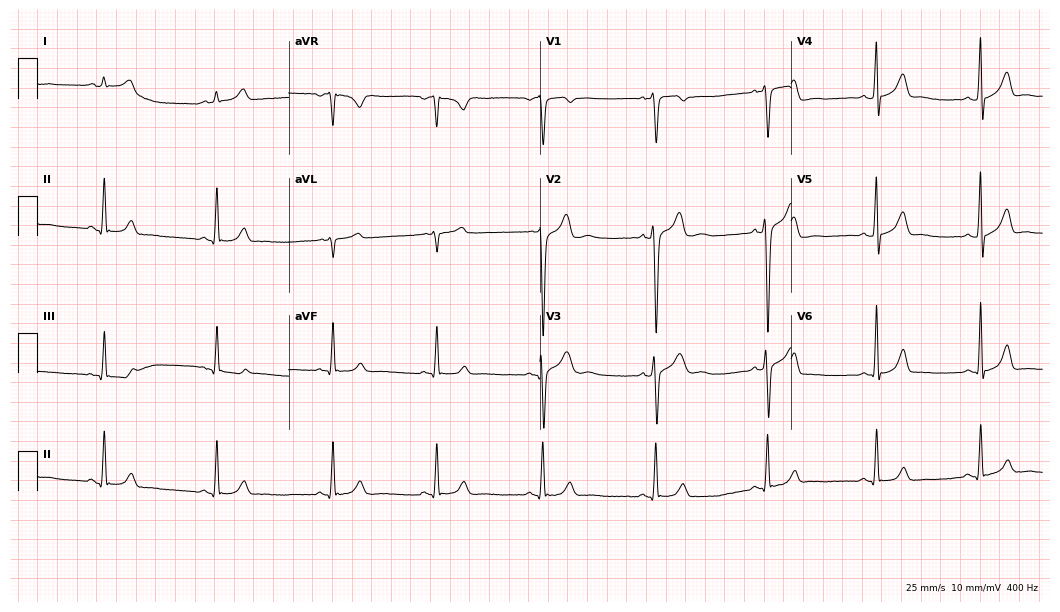
12-lead ECG (10.2-second recording at 400 Hz) from a man, 22 years old. Labelled as a normal ECG.